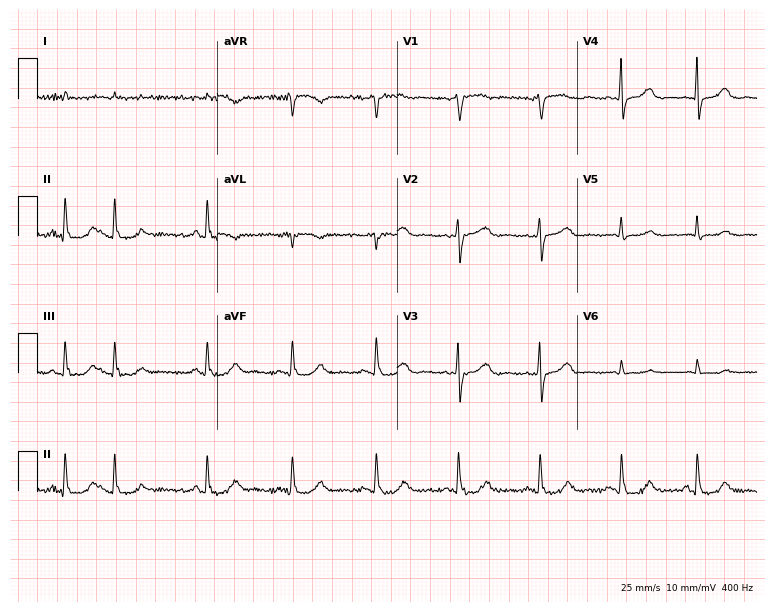
12-lead ECG from a male patient, 84 years old. Screened for six findings — first-degree AV block, right bundle branch block, left bundle branch block, sinus bradycardia, atrial fibrillation, sinus tachycardia — none is recorded.